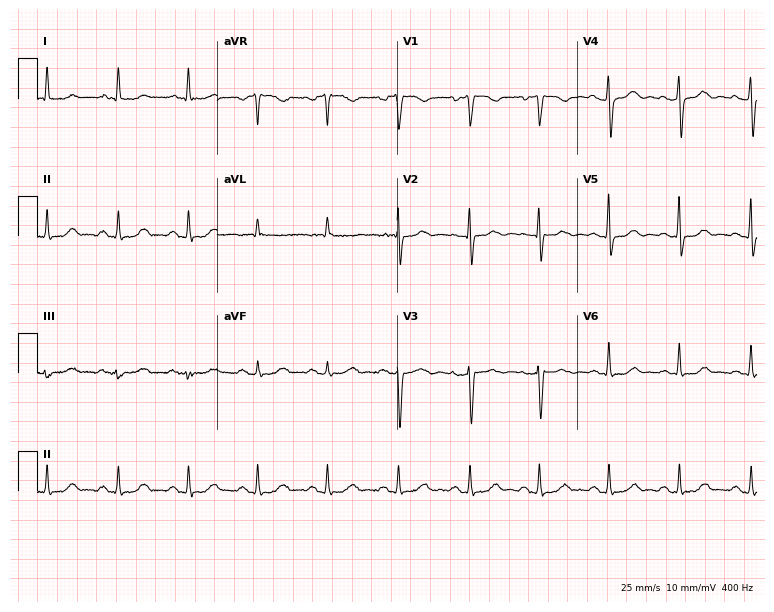
ECG (7.3-second recording at 400 Hz) — a female patient, 50 years old. Labelled as a normal ECG.